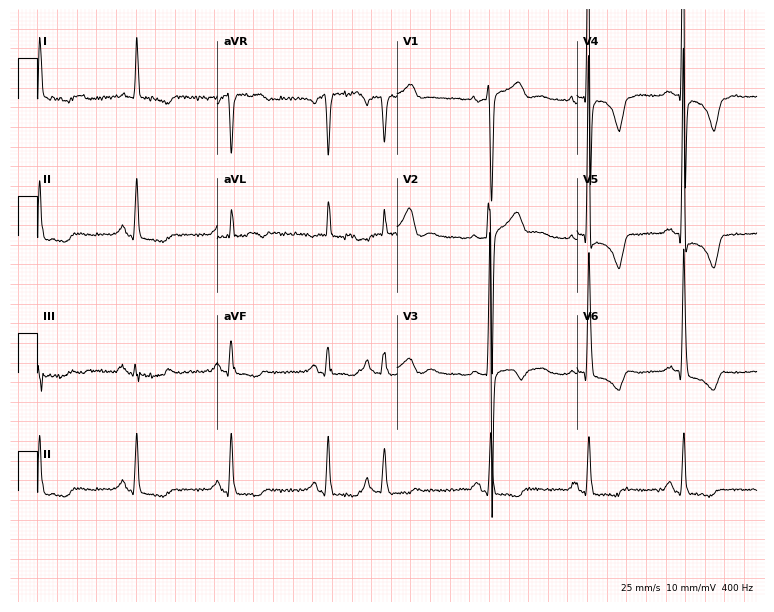
ECG — a 58-year-old man. Screened for six findings — first-degree AV block, right bundle branch block, left bundle branch block, sinus bradycardia, atrial fibrillation, sinus tachycardia — none is recorded. Other findings, if any, are not listed.